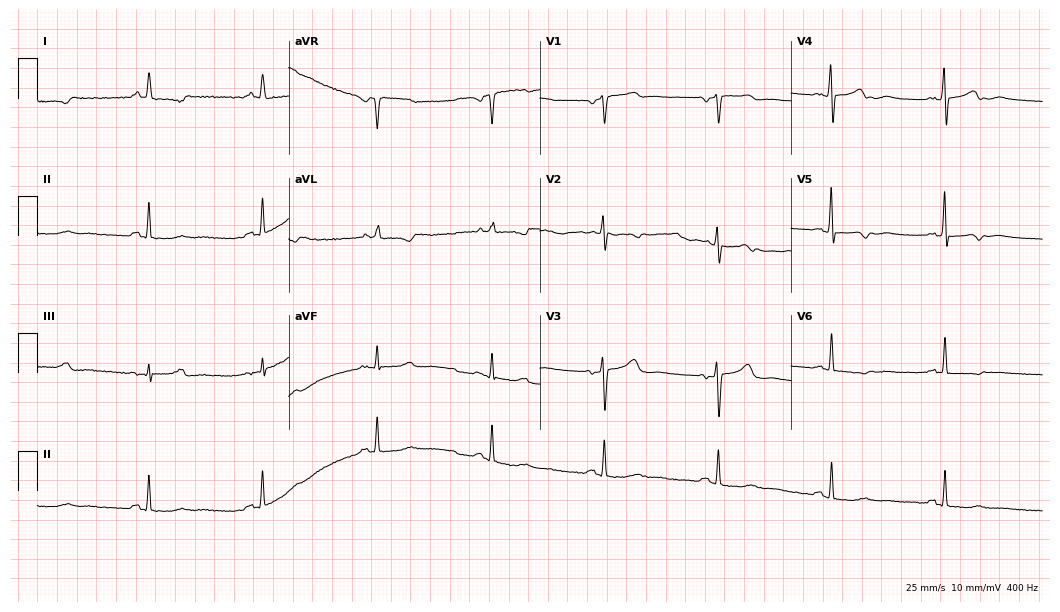
ECG — a 62-year-old woman. Screened for six findings — first-degree AV block, right bundle branch block (RBBB), left bundle branch block (LBBB), sinus bradycardia, atrial fibrillation (AF), sinus tachycardia — none is recorded.